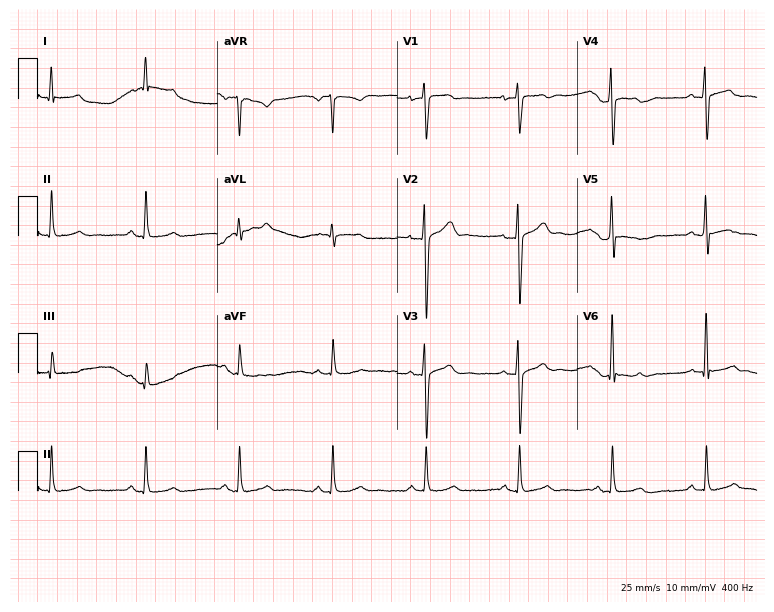
12-lead ECG from a male patient, 42 years old (7.3-second recording at 400 Hz). No first-degree AV block, right bundle branch block (RBBB), left bundle branch block (LBBB), sinus bradycardia, atrial fibrillation (AF) or sinus tachycardia recorded for this tracing.